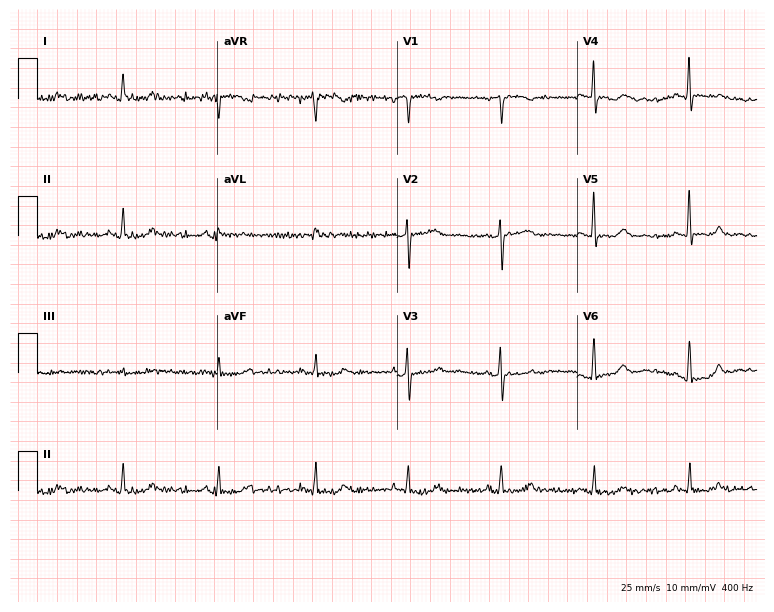
Standard 12-lead ECG recorded from a female patient, 51 years old (7.3-second recording at 400 Hz). None of these six findings is recorded: first-degree AV block, right bundle branch block, left bundle branch block, sinus bradycardia, atrial fibrillation, sinus tachycardia. Only these six findings were labelled.